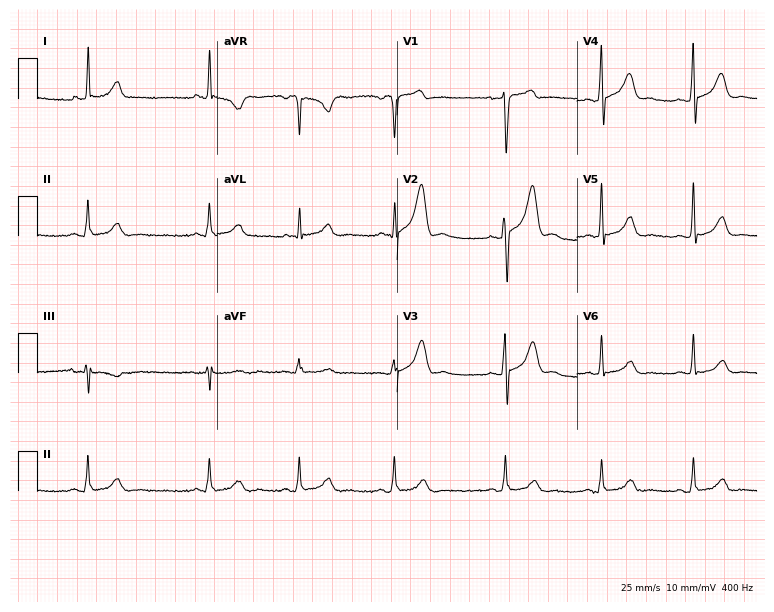
12-lead ECG from a male, 40 years old. Screened for six findings — first-degree AV block, right bundle branch block, left bundle branch block, sinus bradycardia, atrial fibrillation, sinus tachycardia — none is recorded. Other findings, if any, are not listed.